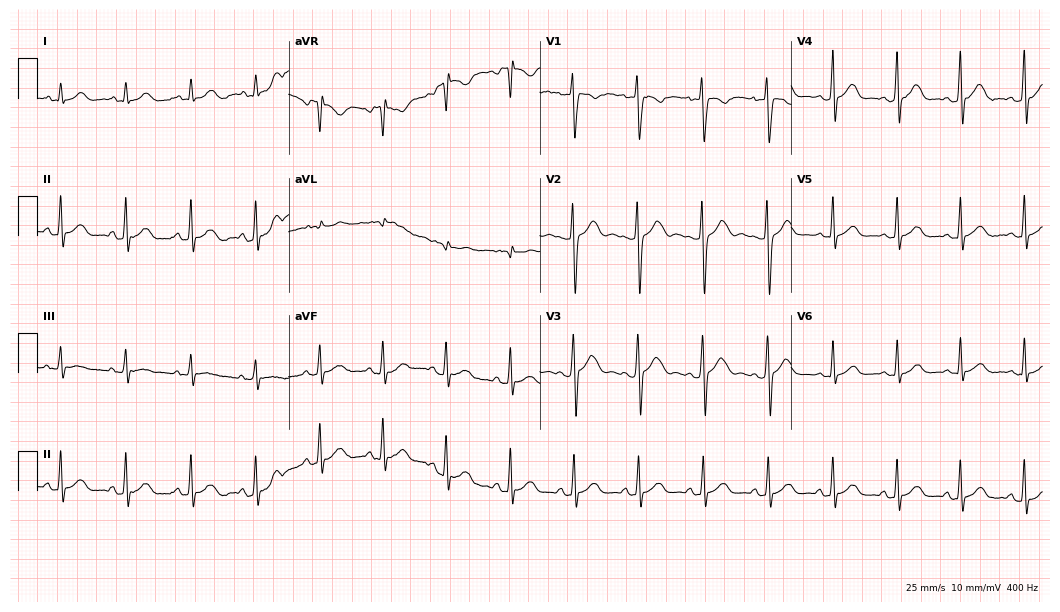
12-lead ECG (10.2-second recording at 400 Hz) from a 23-year-old male. Labelled as a normal ECG.